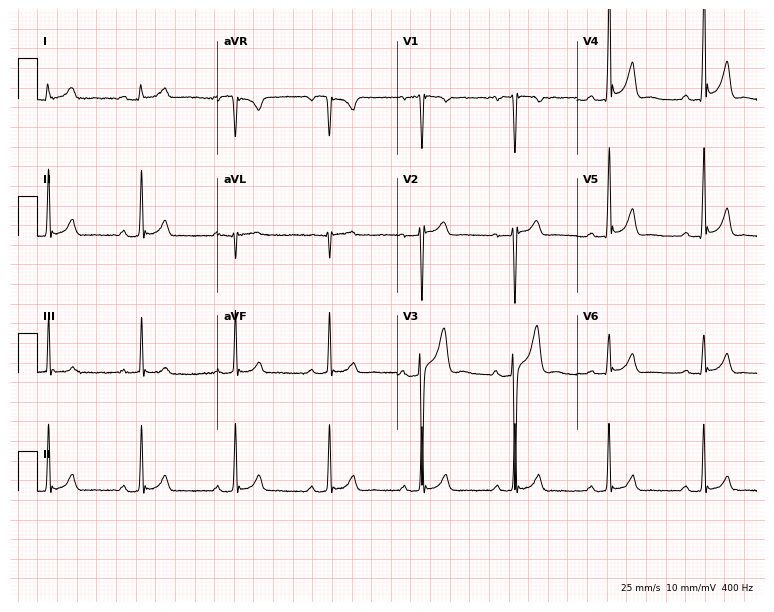
12-lead ECG (7.3-second recording at 400 Hz) from a male, 26 years old. Screened for six findings — first-degree AV block, right bundle branch block, left bundle branch block, sinus bradycardia, atrial fibrillation, sinus tachycardia — none is recorded. Findings outside these six are not listed.